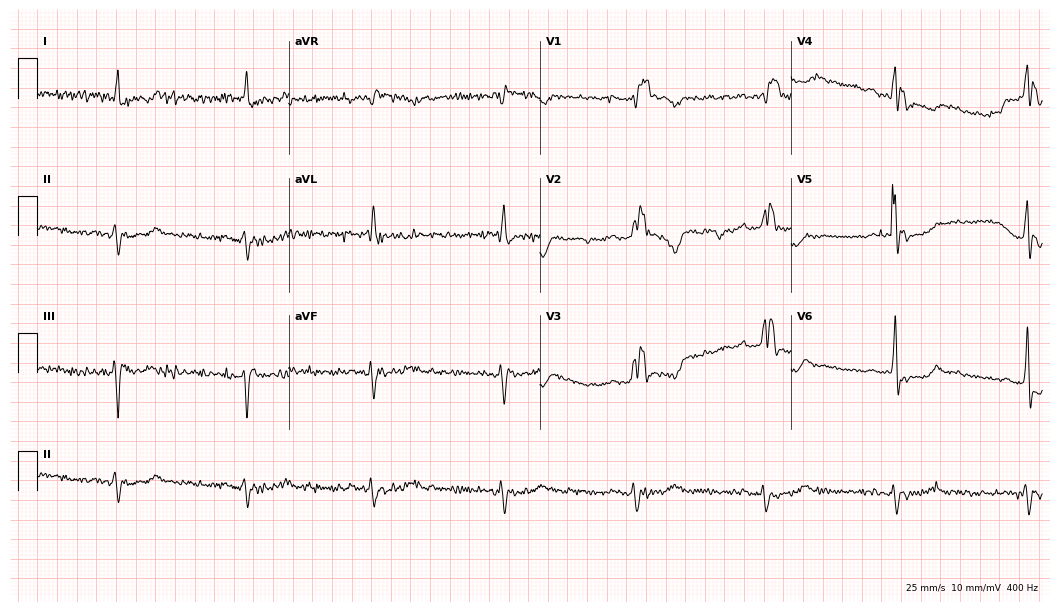
ECG — a 79-year-old male. Screened for six findings — first-degree AV block, right bundle branch block, left bundle branch block, sinus bradycardia, atrial fibrillation, sinus tachycardia — none is recorded. Findings outside these six are not listed.